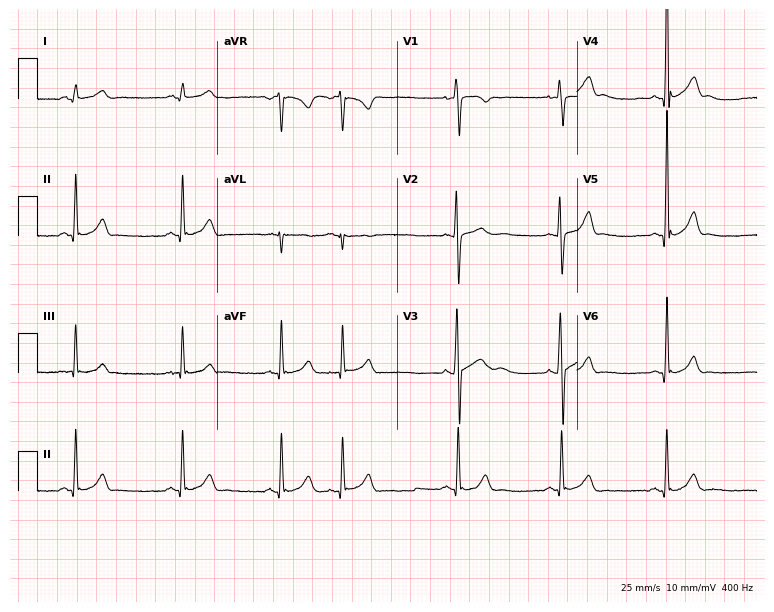
ECG — an 18-year-old man. Labelled as a normal ECG.